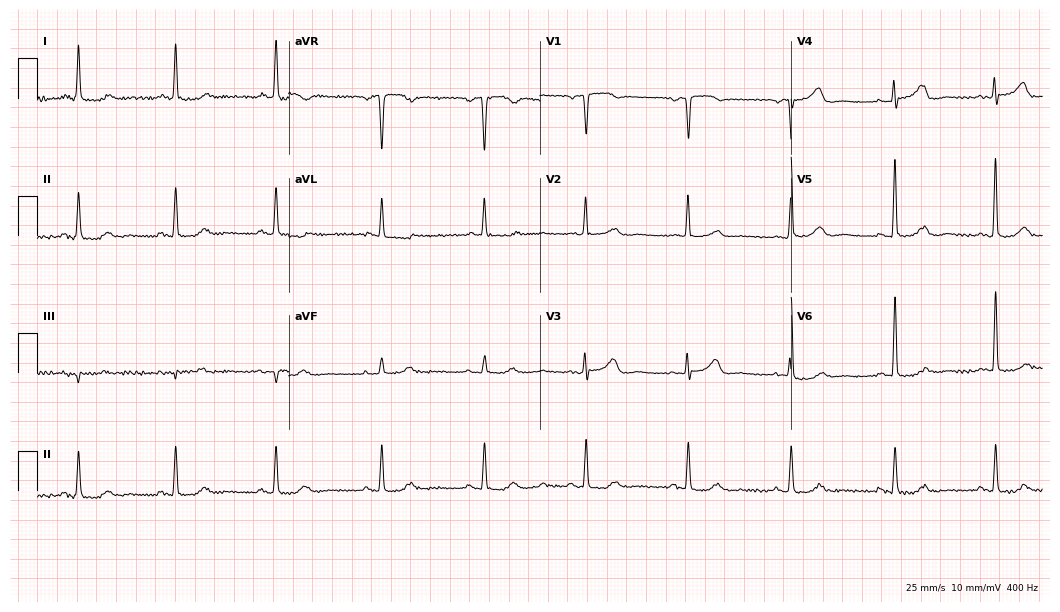
Electrocardiogram (10.2-second recording at 400 Hz), a woman, 76 years old. Overall reading on record: normal ECG.